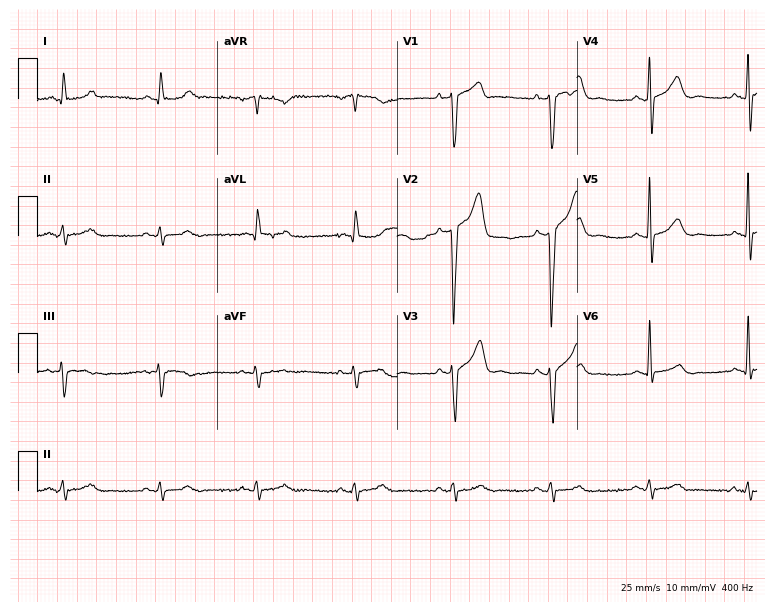
Resting 12-lead electrocardiogram (7.3-second recording at 400 Hz). Patient: a 63-year-old male. None of these six findings is recorded: first-degree AV block, right bundle branch block, left bundle branch block, sinus bradycardia, atrial fibrillation, sinus tachycardia.